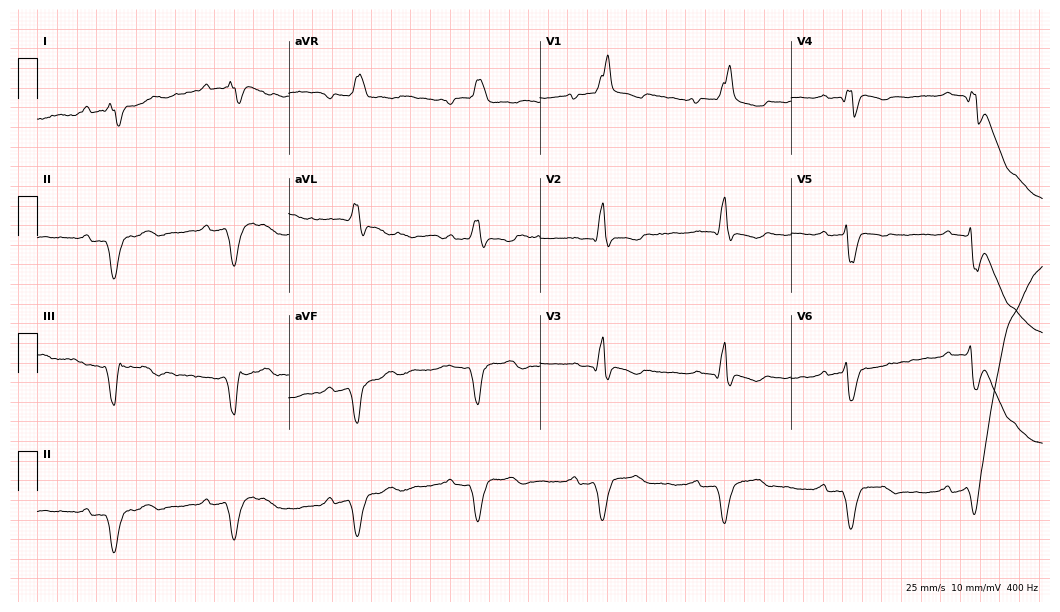
12-lead ECG from a 76-year-old man (10.2-second recording at 400 Hz). Shows first-degree AV block, right bundle branch block, sinus bradycardia (a sinus rate of 50 beats per minute or less).